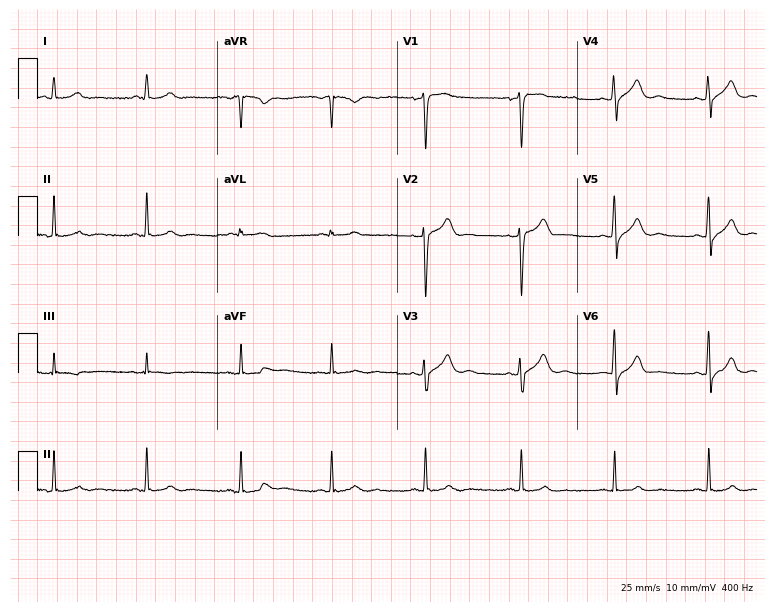
12-lead ECG from a 52-year-old male. Screened for six findings — first-degree AV block, right bundle branch block, left bundle branch block, sinus bradycardia, atrial fibrillation, sinus tachycardia — none is recorded.